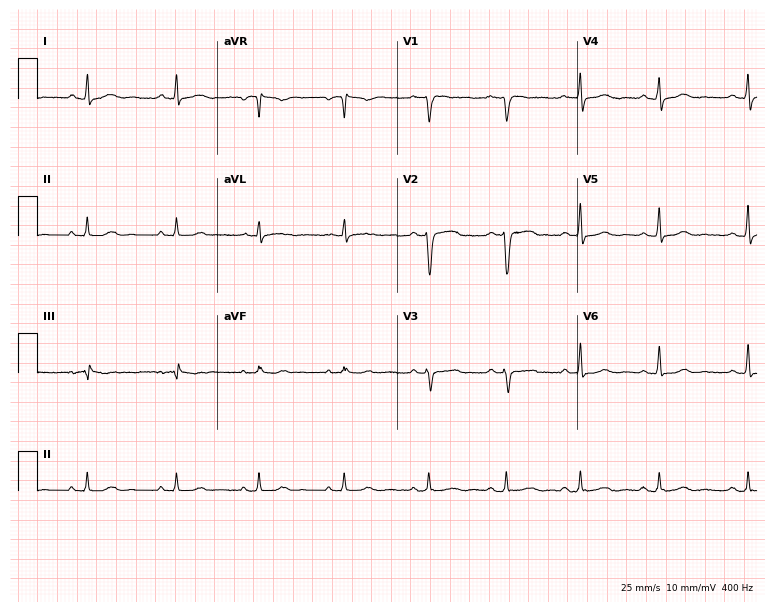
Standard 12-lead ECG recorded from a female patient, 38 years old. None of these six findings is recorded: first-degree AV block, right bundle branch block, left bundle branch block, sinus bradycardia, atrial fibrillation, sinus tachycardia.